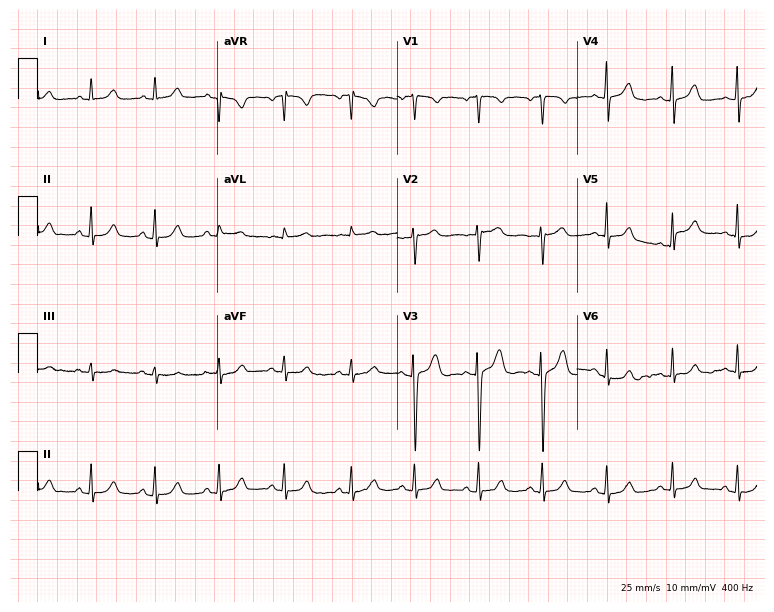
Electrocardiogram (7.3-second recording at 400 Hz), a 33-year-old female patient. Overall reading on record: normal ECG.